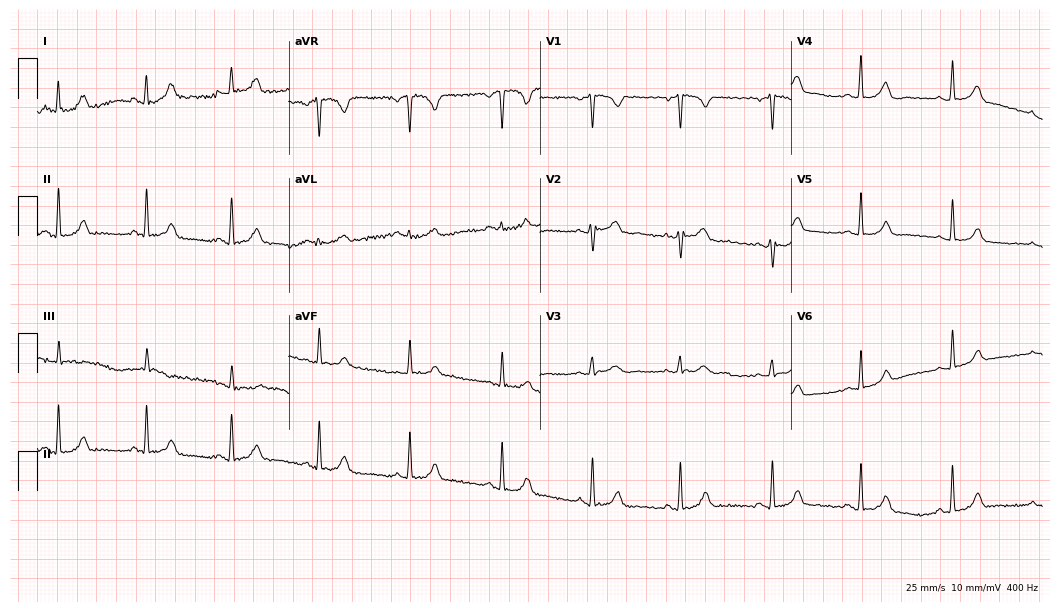
Resting 12-lead electrocardiogram. Patient: a 17-year-old female. None of these six findings is recorded: first-degree AV block, right bundle branch block, left bundle branch block, sinus bradycardia, atrial fibrillation, sinus tachycardia. Other findings, if any, are not listed.